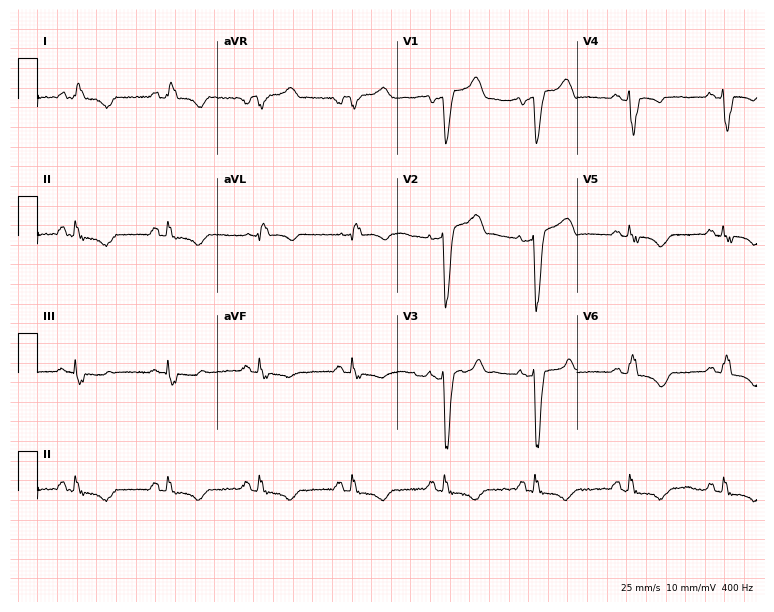
ECG (7.3-second recording at 400 Hz) — a 65-year-old male patient. Findings include left bundle branch block (LBBB).